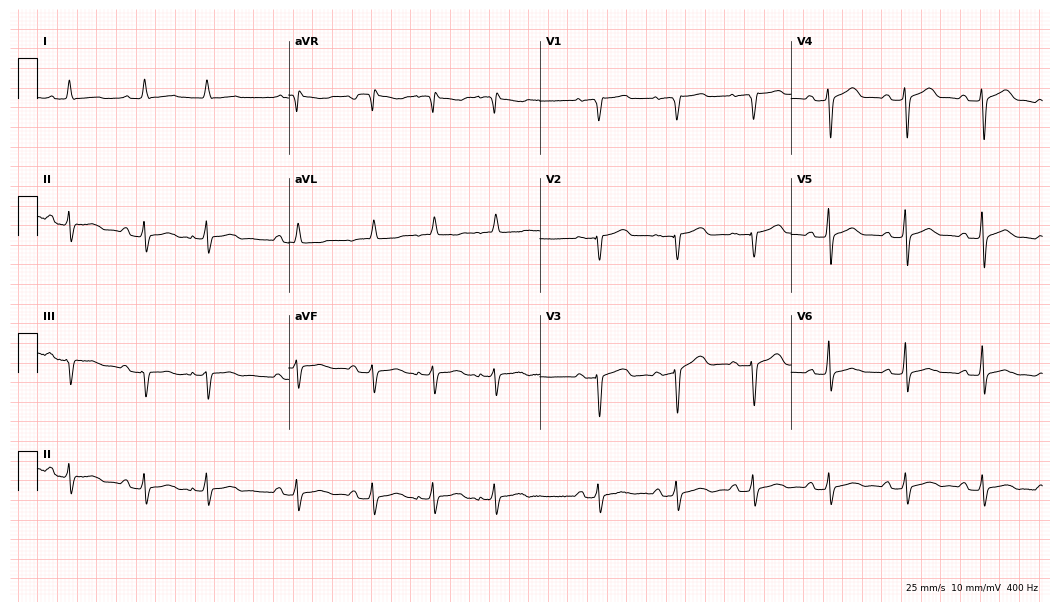
Electrocardiogram, a male, 84 years old. Of the six screened findings (first-degree AV block, right bundle branch block (RBBB), left bundle branch block (LBBB), sinus bradycardia, atrial fibrillation (AF), sinus tachycardia), none is recorded.